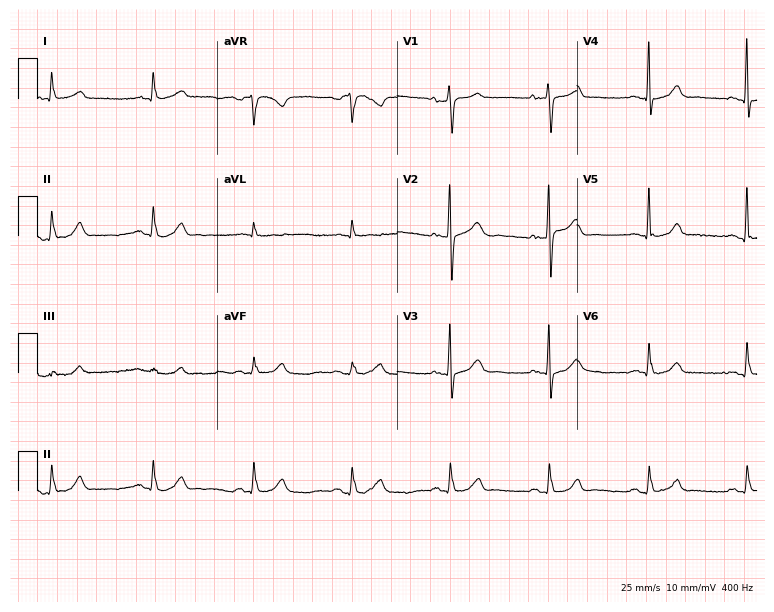
Electrocardiogram, a 79-year-old male patient. Overall reading on record: normal ECG.